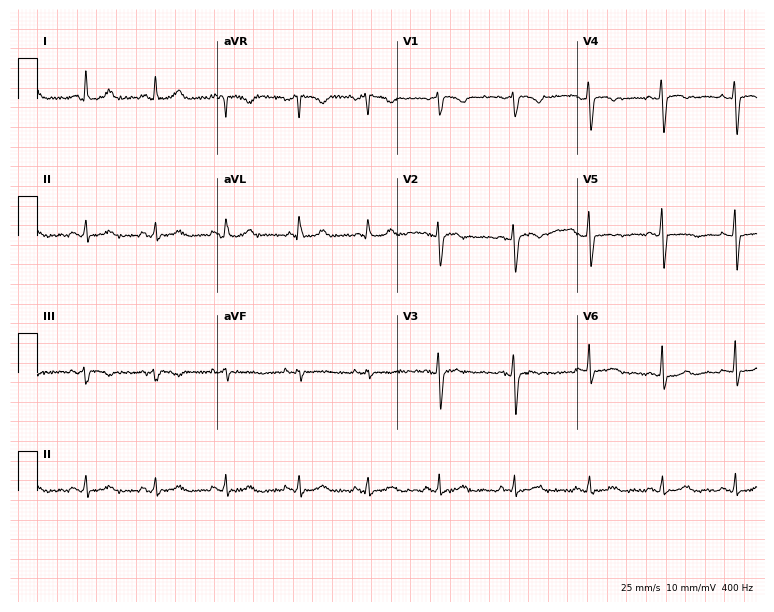
12-lead ECG from a 39-year-old woman (7.3-second recording at 400 Hz). Recorded interpretation: within normal limits.